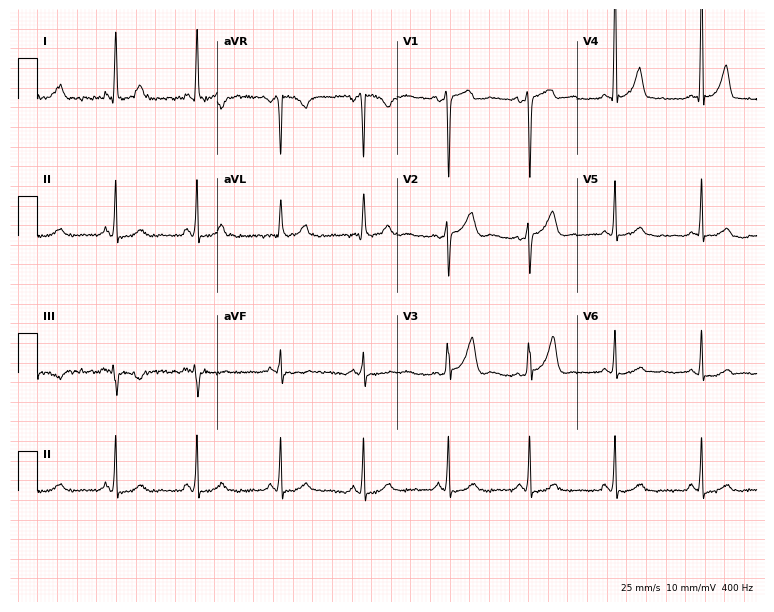
Standard 12-lead ECG recorded from a 43-year-old female patient (7.3-second recording at 400 Hz). None of these six findings is recorded: first-degree AV block, right bundle branch block (RBBB), left bundle branch block (LBBB), sinus bradycardia, atrial fibrillation (AF), sinus tachycardia. Only these six findings were labelled.